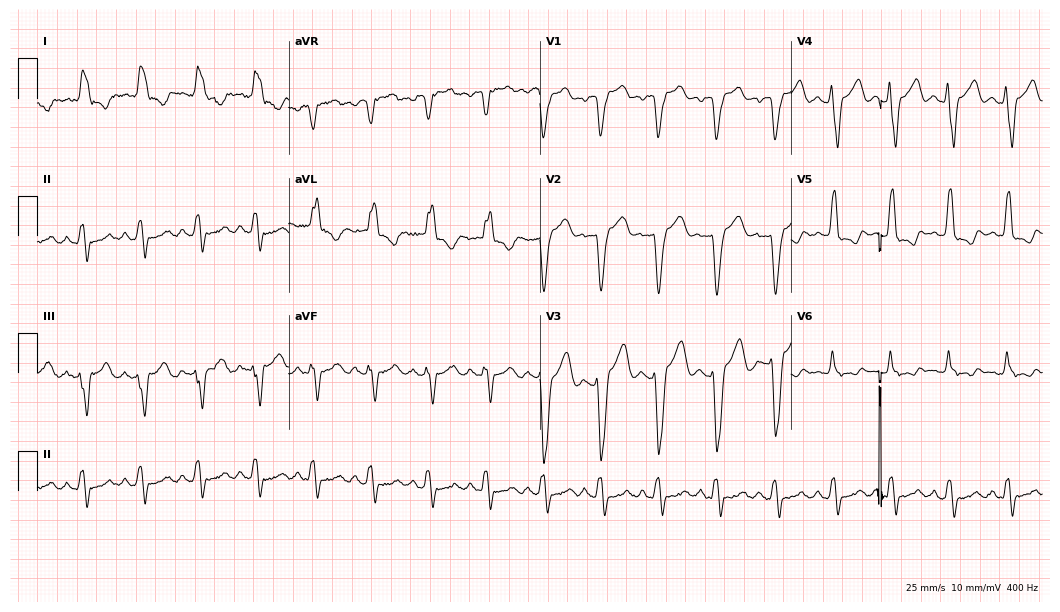
Electrocardiogram (10.2-second recording at 400 Hz), a 72-year-old woman. Interpretation includes left bundle branch block (LBBB).